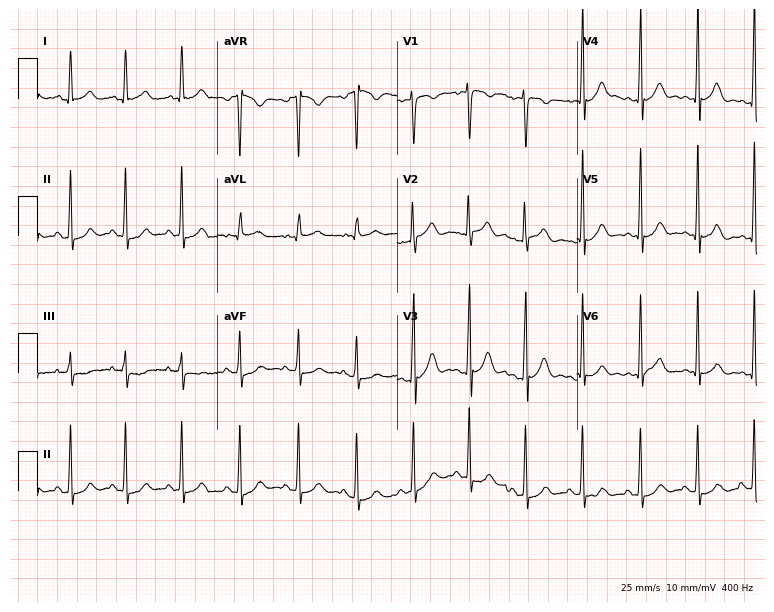
12-lead ECG from a woman, 17 years old. Findings include sinus tachycardia (a sinus rate of 100 beats per minute or more).